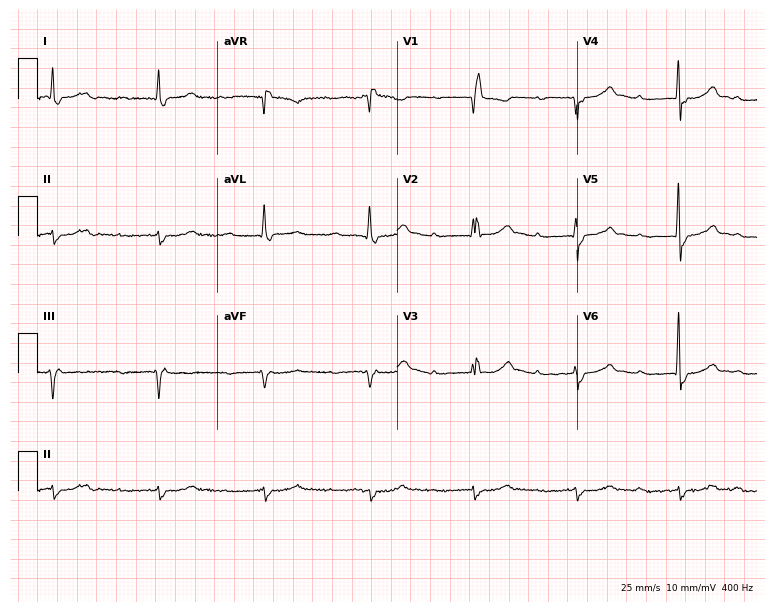
12-lead ECG from a male patient, 76 years old. Findings include first-degree AV block, right bundle branch block.